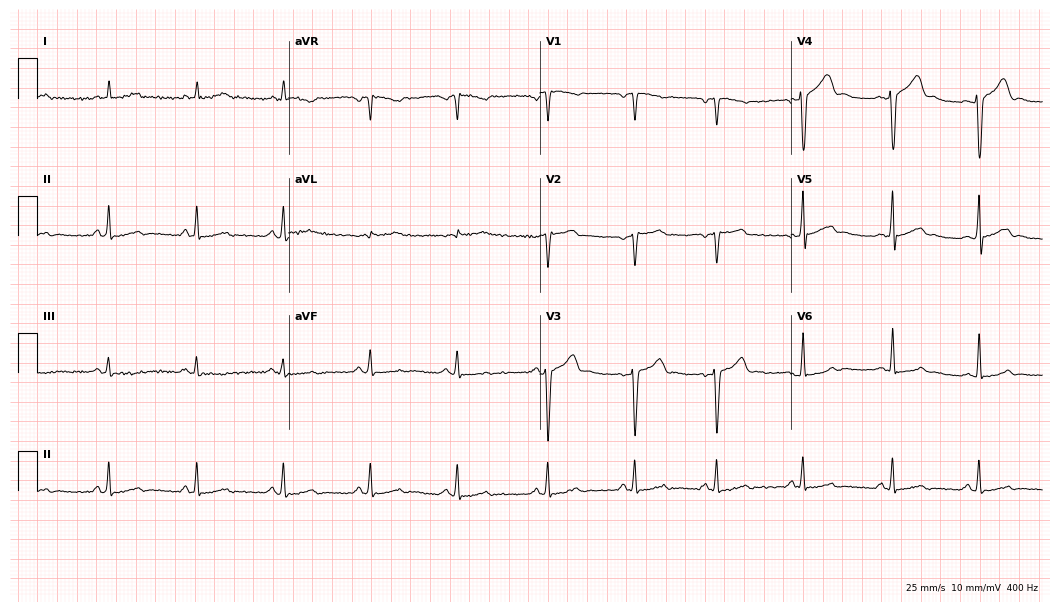
Resting 12-lead electrocardiogram. Patient: a 25-year-old male. None of these six findings is recorded: first-degree AV block, right bundle branch block, left bundle branch block, sinus bradycardia, atrial fibrillation, sinus tachycardia. Findings outside these six are not listed.